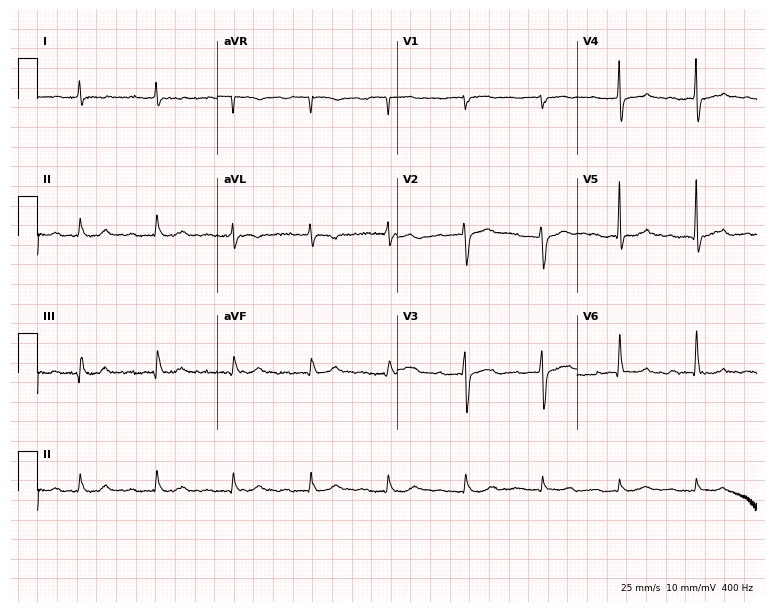
Resting 12-lead electrocardiogram. Patient: a 64-year-old male. Read as a normal ECG.